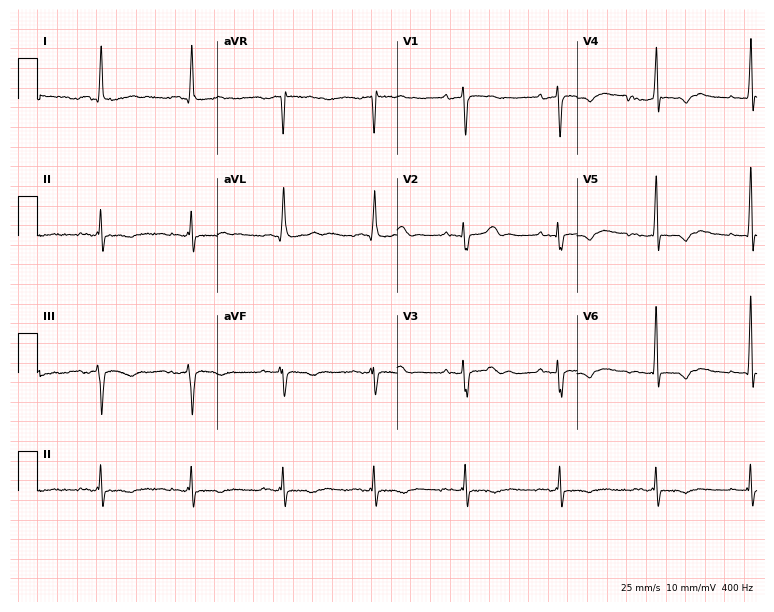
12-lead ECG from a 71-year-old male (7.3-second recording at 400 Hz). No first-degree AV block, right bundle branch block, left bundle branch block, sinus bradycardia, atrial fibrillation or sinus tachycardia recorded for this tracing. Findings outside these six are not listed.